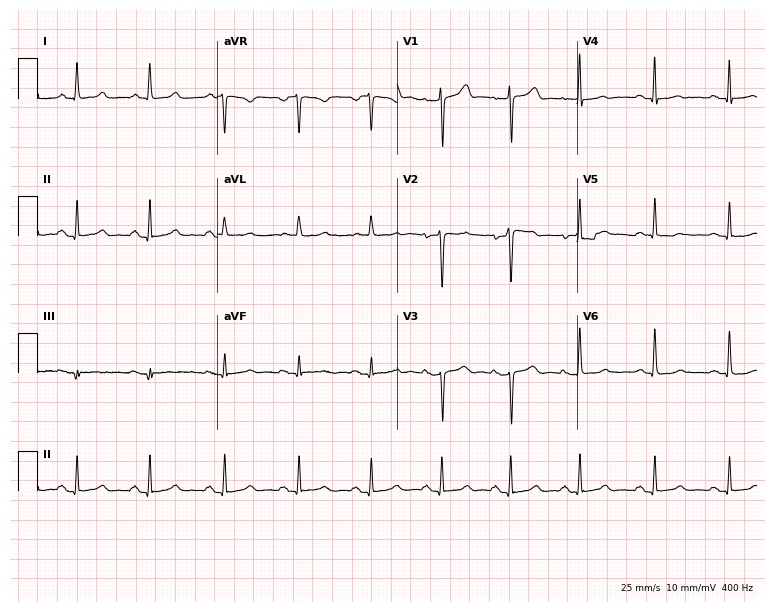
ECG — a female, 83 years old. Labelled as a normal ECG.